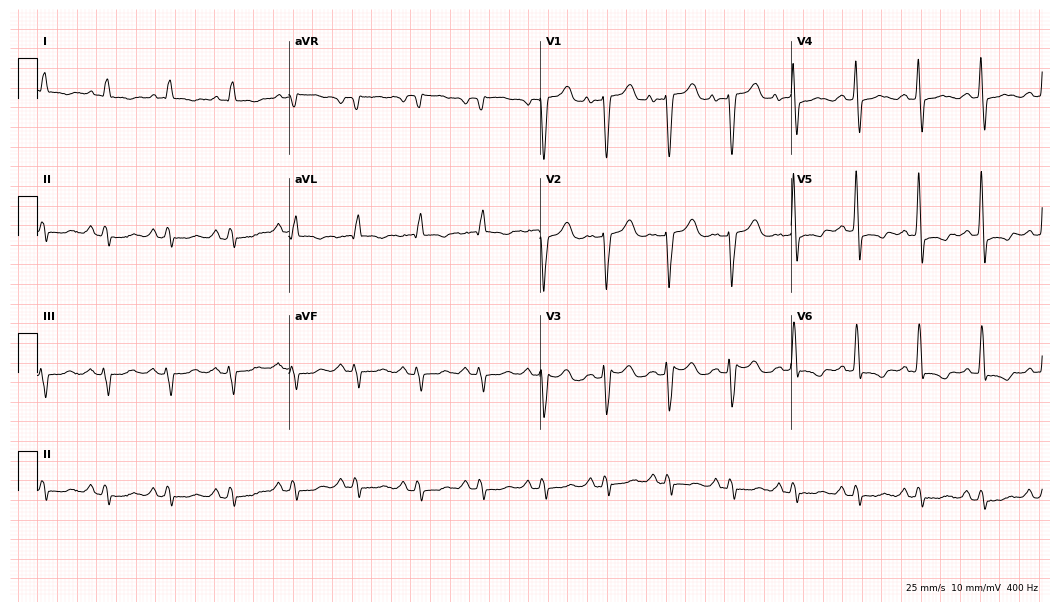
Resting 12-lead electrocardiogram. Patient: a male, 73 years old. None of these six findings is recorded: first-degree AV block, right bundle branch block, left bundle branch block, sinus bradycardia, atrial fibrillation, sinus tachycardia. Only these six findings were labelled.